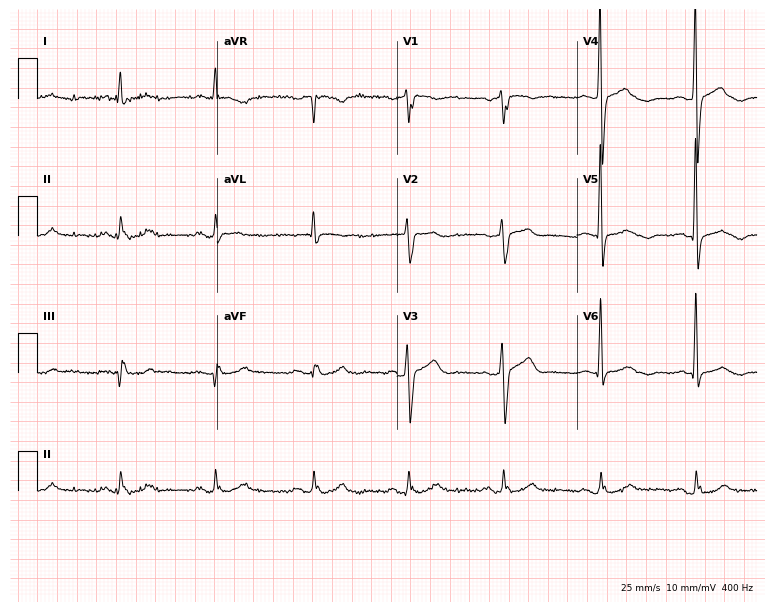
12-lead ECG from a 67-year-old male patient. Screened for six findings — first-degree AV block, right bundle branch block, left bundle branch block, sinus bradycardia, atrial fibrillation, sinus tachycardia — none is recorded.